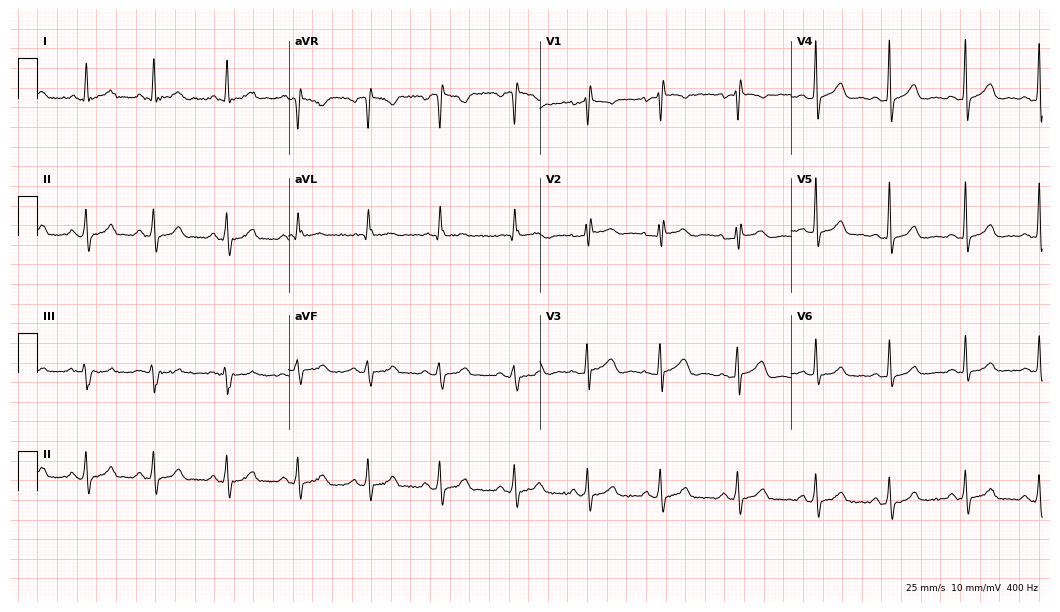
12-lead ECG from a 46-year-old female (10.2-second recording at 400 Hz). Recorded interpretation: within normal limits.